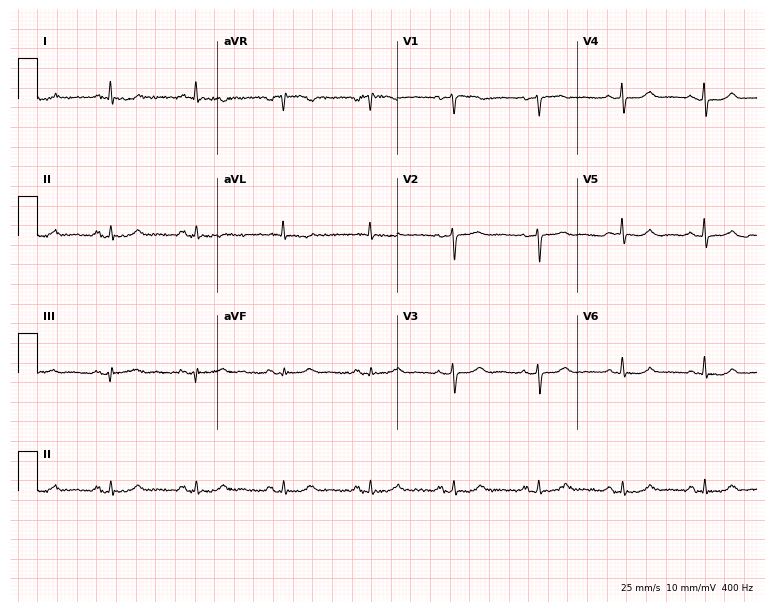
Resting 12-lead electrocardiogram. Patient: a 61-year-old female. Read as a normal ECG.